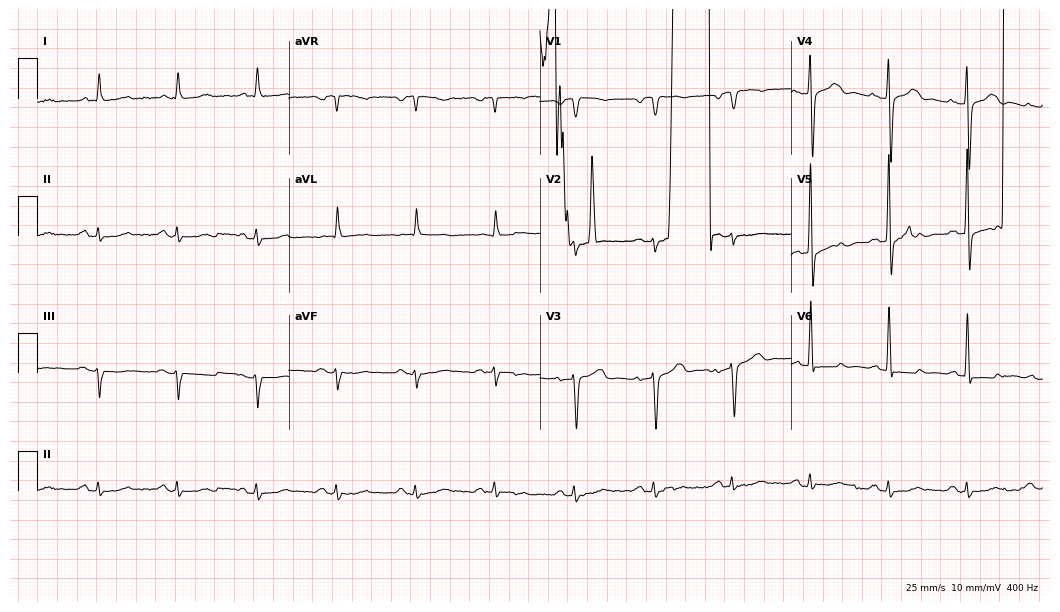
ECG (10.2-second recording at 400 Hz) — a male, 84 years old. Screened for six findings — first-degree AV block, right bundle branch block, left bundle branch block, sinus bradycardia, atrial fibrillation, sinus tachycardia — none is recorded.